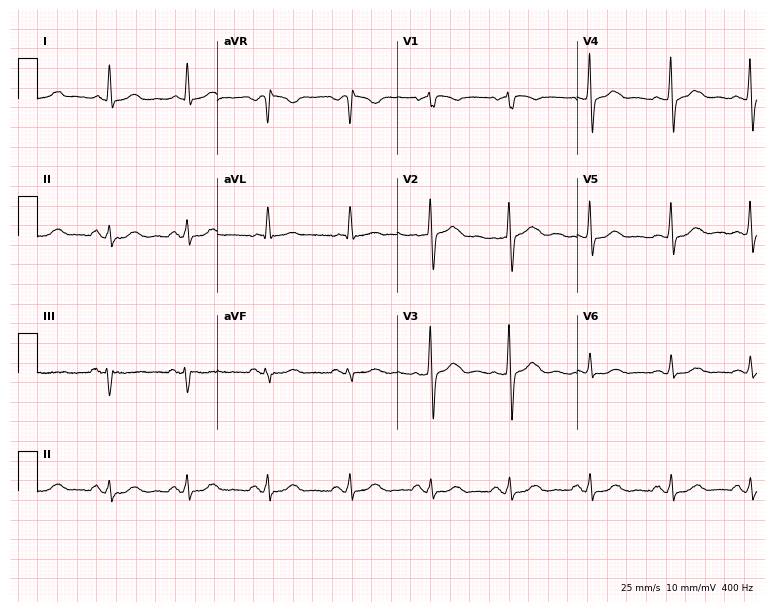
Resting 12-lead electrocardiogram. Patient: a 61-year-old female. Read as a normal ECG.